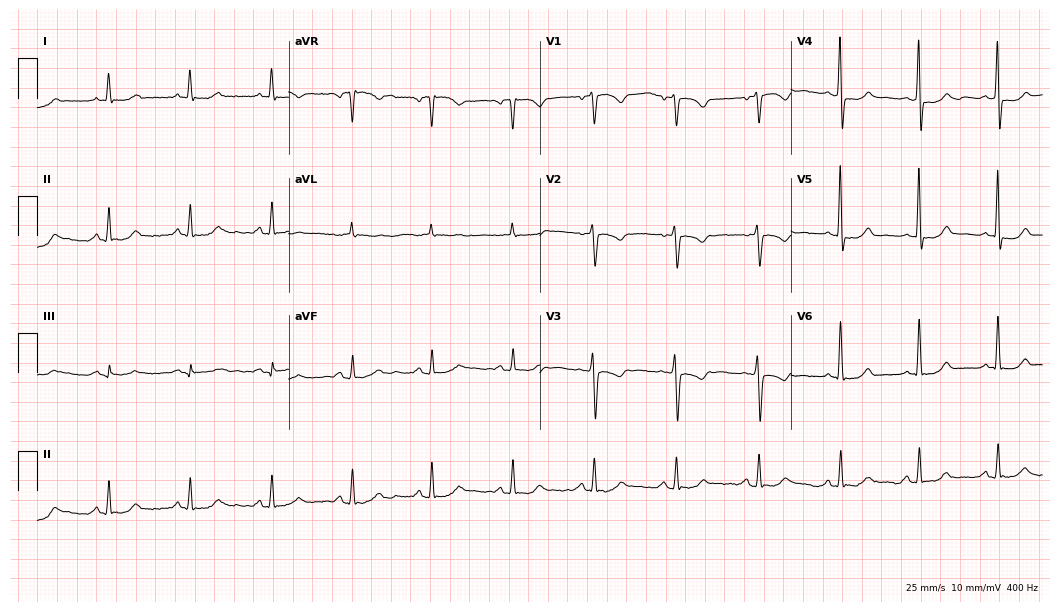
Standard 12-lead ECG recorded from a woman, 57 years old. Read as a normal ECG.